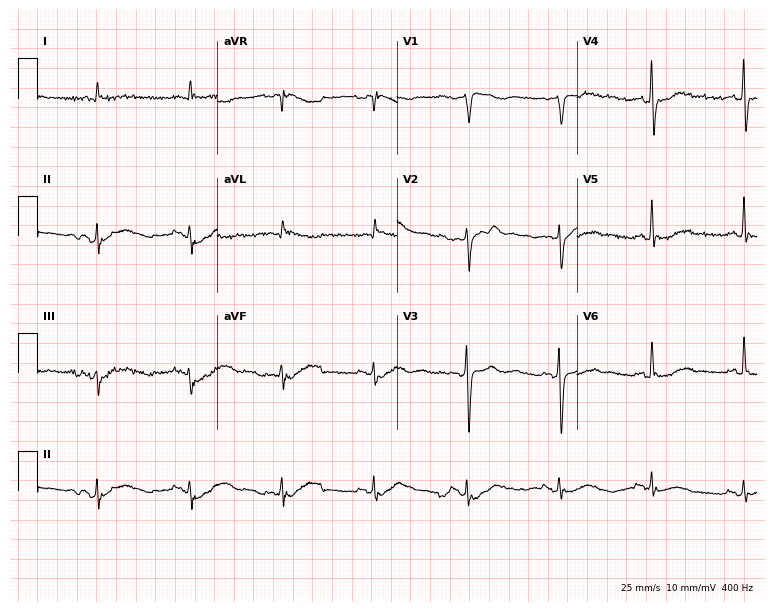
Standard 12-lead ECG recorded from a female patient, 84 years old. Read as a normal ECG.